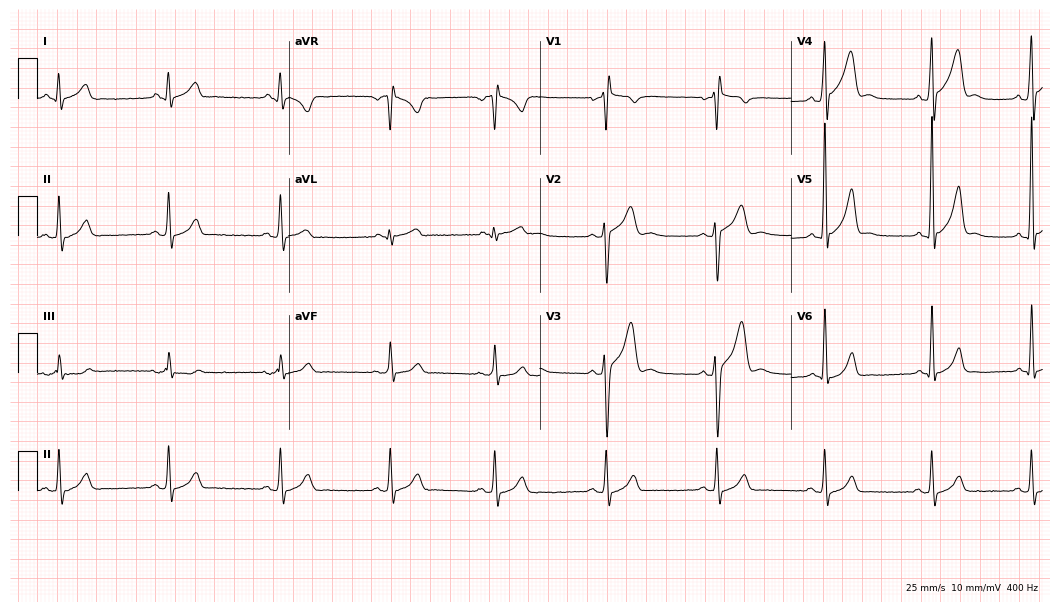
Electrocardiogram (10.2-second recording at 400 Hz), a 28-year-old man. Of the six screened findings (first-degree AV block, right bundle branch block, left bundle branch block, sinus bradycardia, atrial fibrillation, sinus tachycardia), none is recorded. Findings outside these six are not listed.